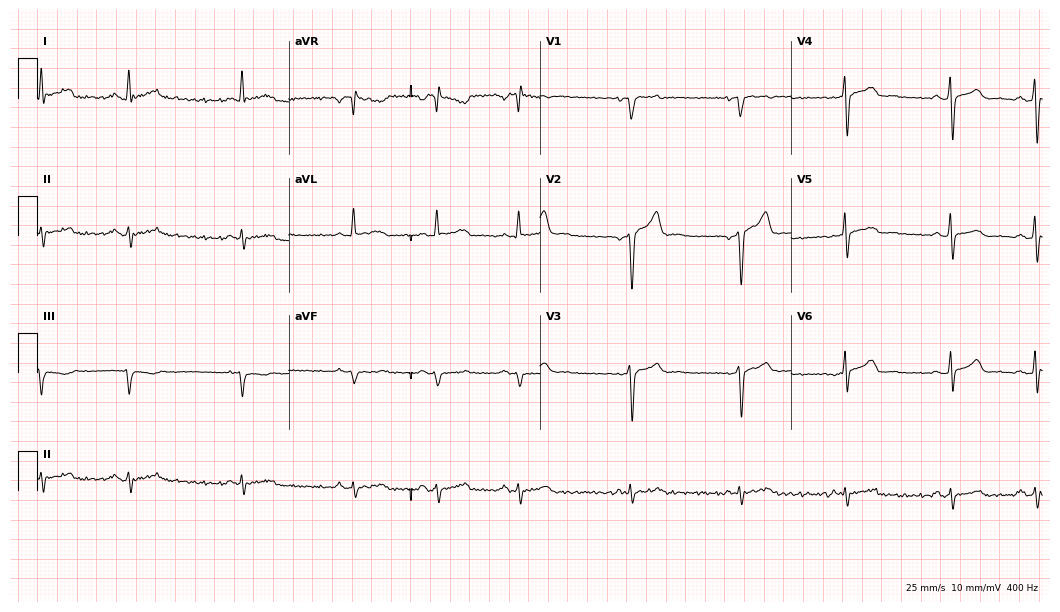
12-lead ECG from a 22-year-old male (10.2-second recording at 400 Hz). No first-degree AV block, right bundle branch block, left bundle branch block, sinus bradycardia, atrial fibrillation or sinus tachycardia recorded for this tracing.